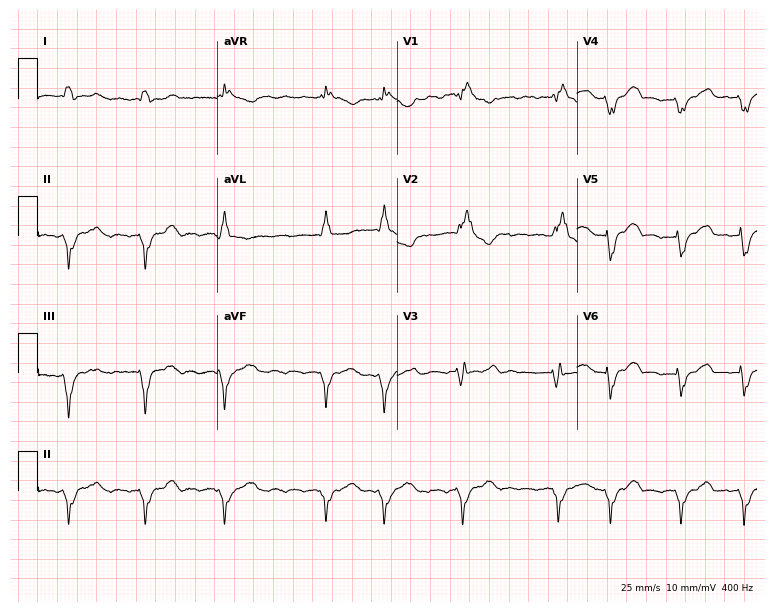
12-lead ECG from a woman, 76 years old. Findings include right bundle branch block, atrial fibrillation.